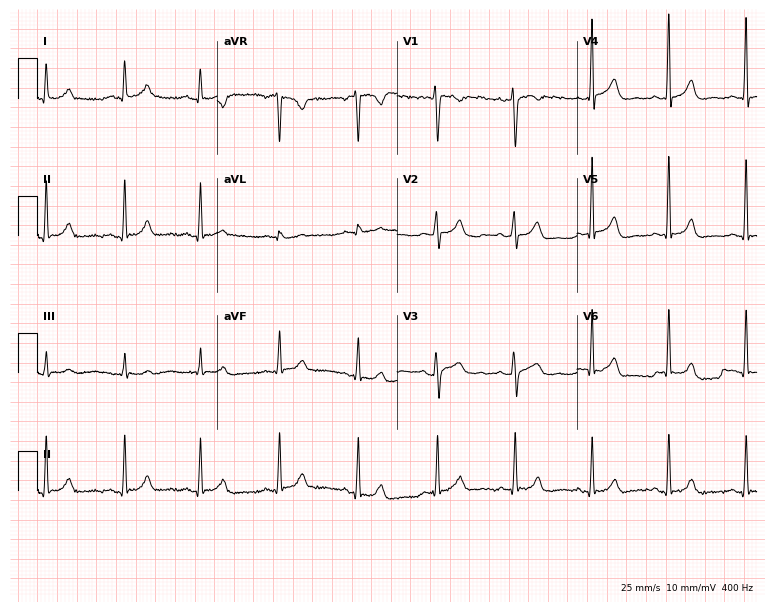
Resting 12-lead electrocardiogram. Patient: a 42-year-old woman. Read as a normal ECG.